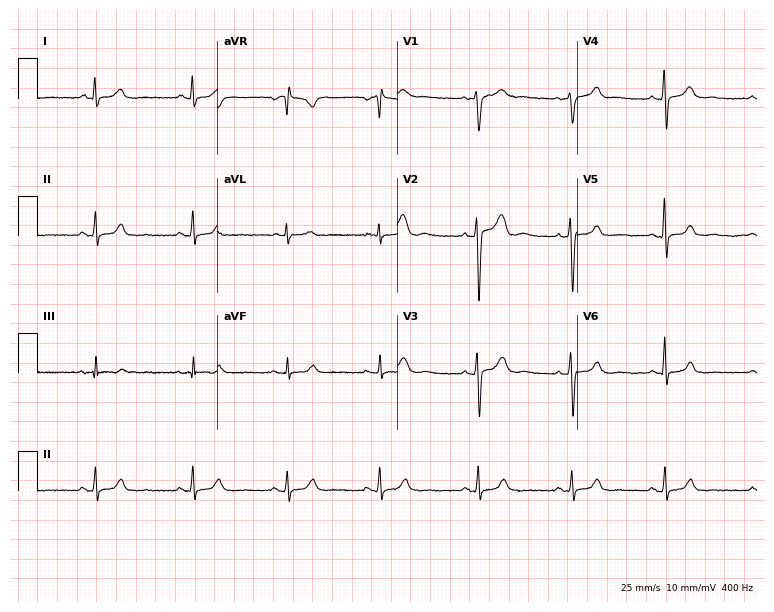
Electrocardiogram, a 35-year-old woman. Overall reading on record: normal ECG.